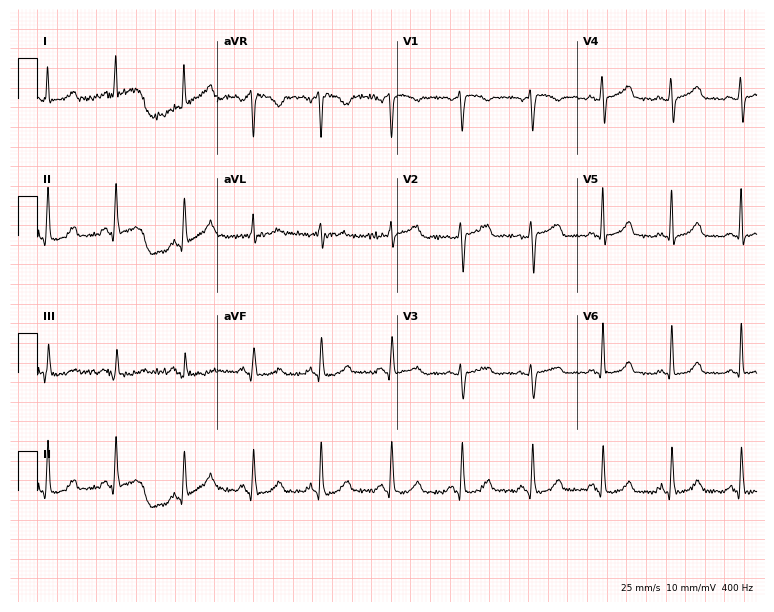
Resting 12-lead electrocardiogram (7.3-second recording at 400 Hz). Patient: a woman, 64 years old. Read as a normal ECG.